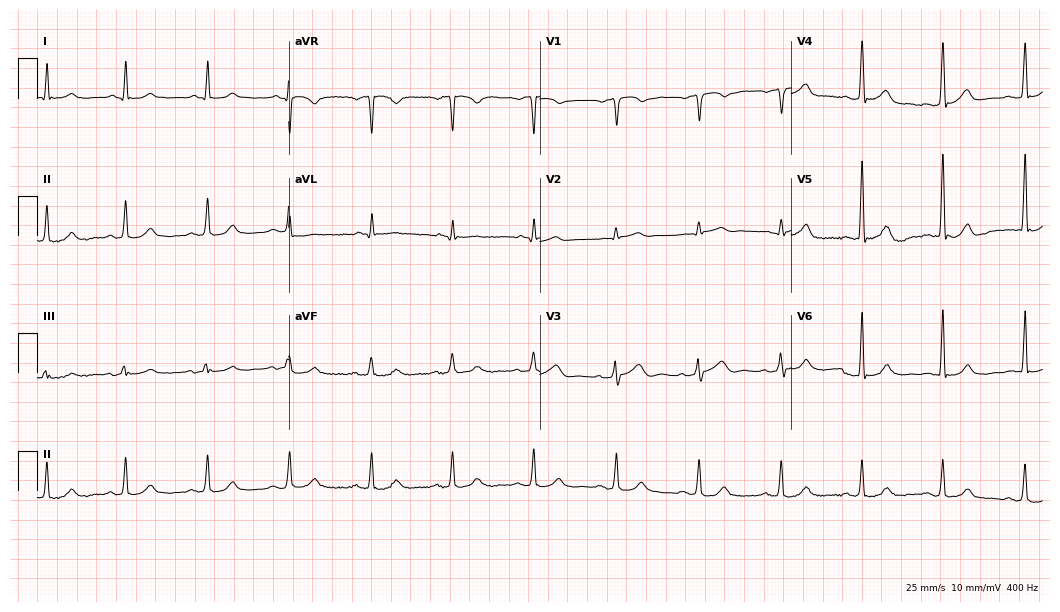
ECG — an 82-year-old male. Labelled as a normal ECG.